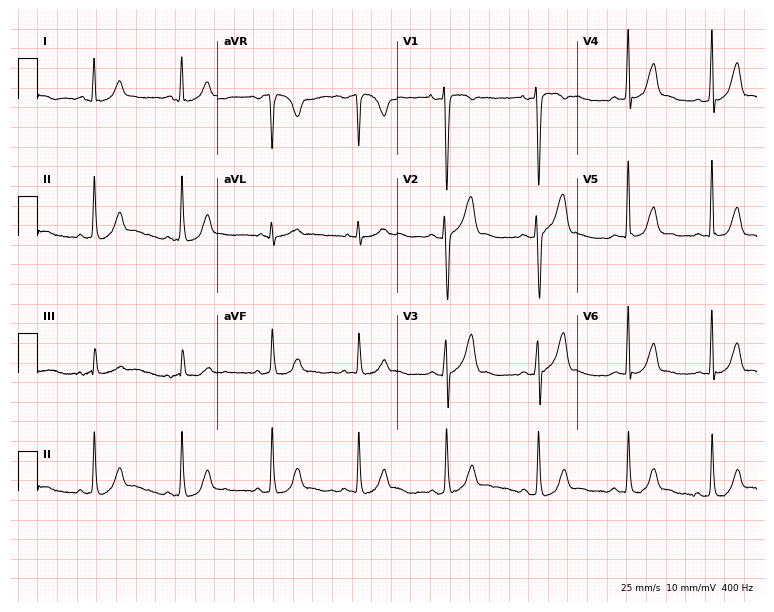
ECG — a female patient, 25 years old. Screened for six findings — first-degree AV block, right bundle branch block, left bundle branch block, sinus bradycardia, atrial fibrillation, sinus tachycardia — none is recorded.